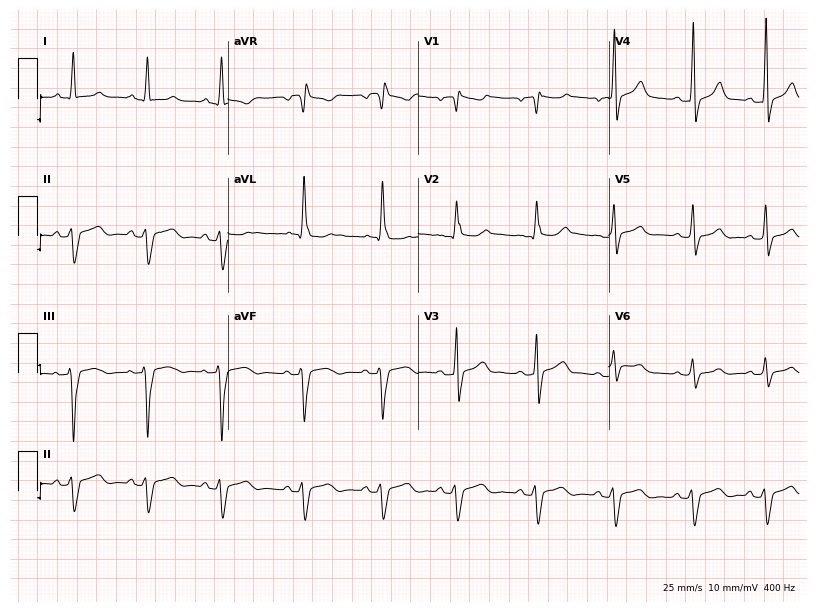
ECG (7.8-second recording at 400 Hz) — a man, 17 years old. Findings include right bundle branch block (RBBB).